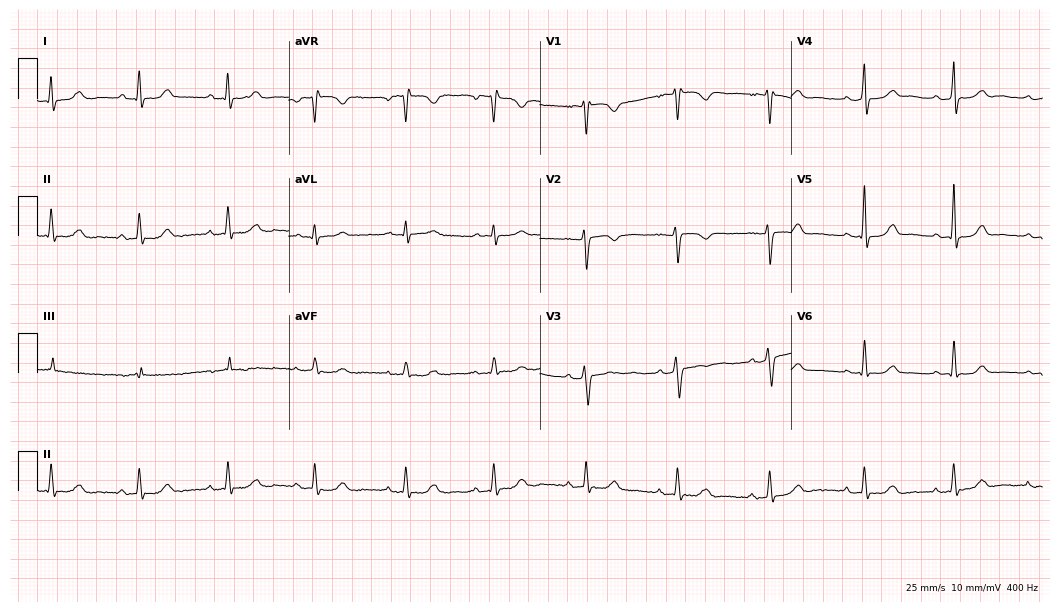
Standard 12-lead ECG recorded from a female patient, 42 years old. Read as a normal ECG.